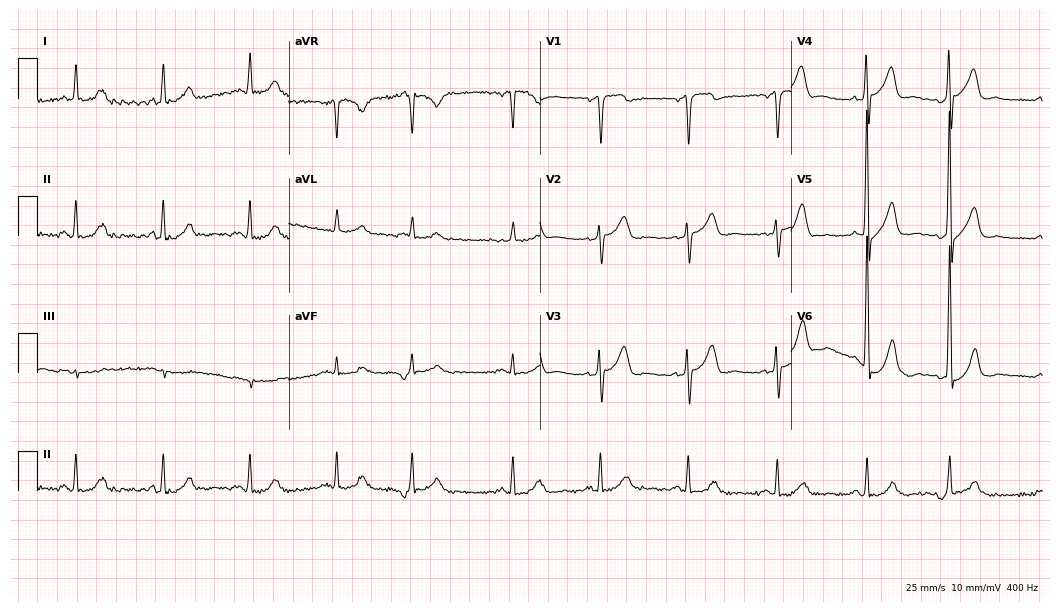
ECG — a 69-year-old man. Screened for six findings — first-degree AV block, right bundle branch block (RBBB), left bundle branch block (LBBB), sinus bradycardia, atrial fibrillation (AF), sinus tachycardia — none is recorded.